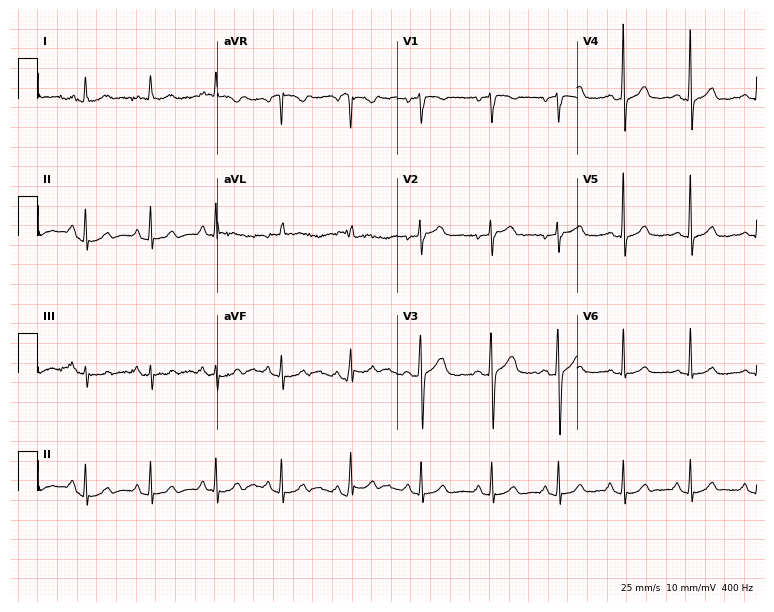
ECG — a woman, 49 years old. Labelled as a normal ECG.